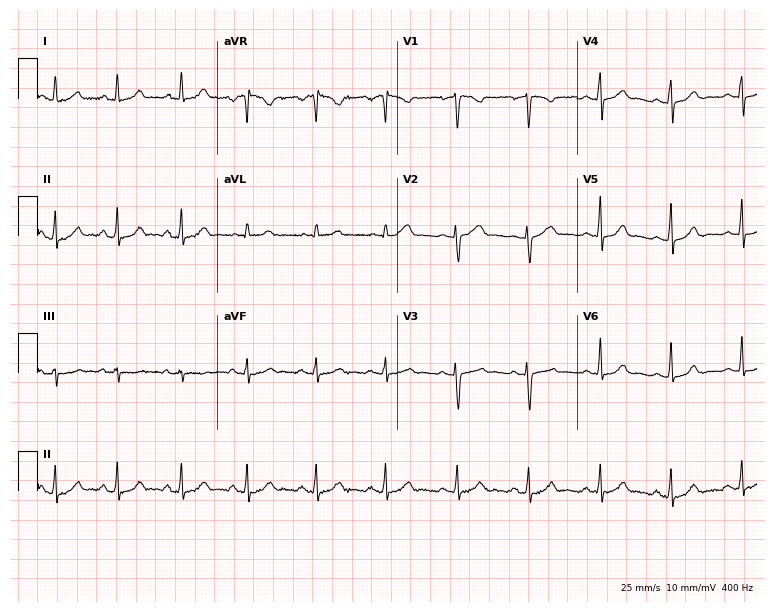
Electrocardiogram (7.3-second recording at 400 Hz), a 20-year-old female patient. Overall reading on record: normal ECG.